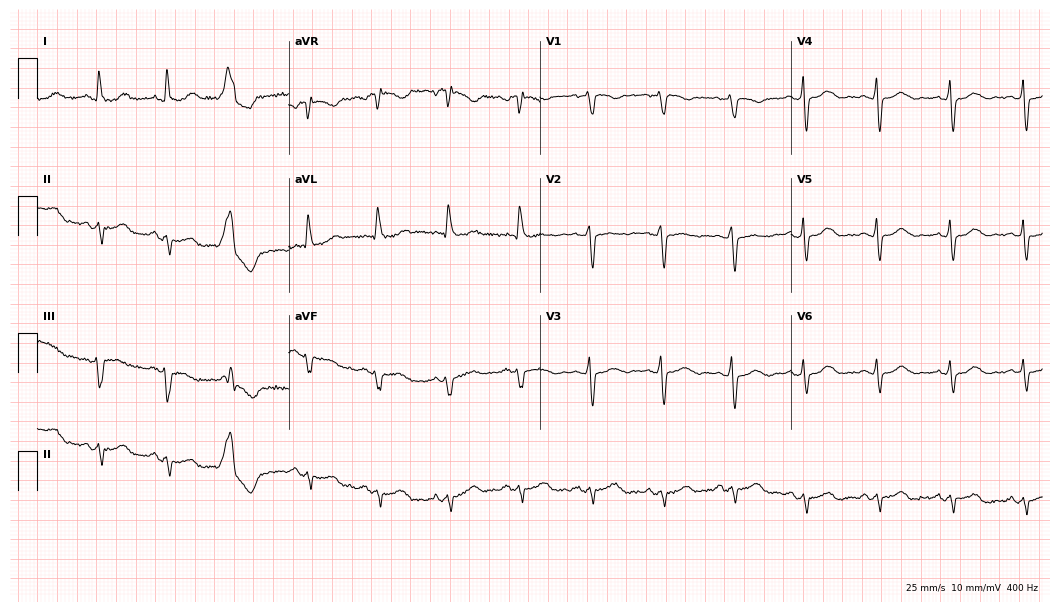
Resting 12-lead electrocardiogram (10.2-second recording at 400 Hz). Patient: a 76-year-old woman. None of these six findings is recorded: first-degree AV block, right bundle branch block, left bundle branch block, sinus bradycardia, atrial fibrillation, sinus tachycardia.